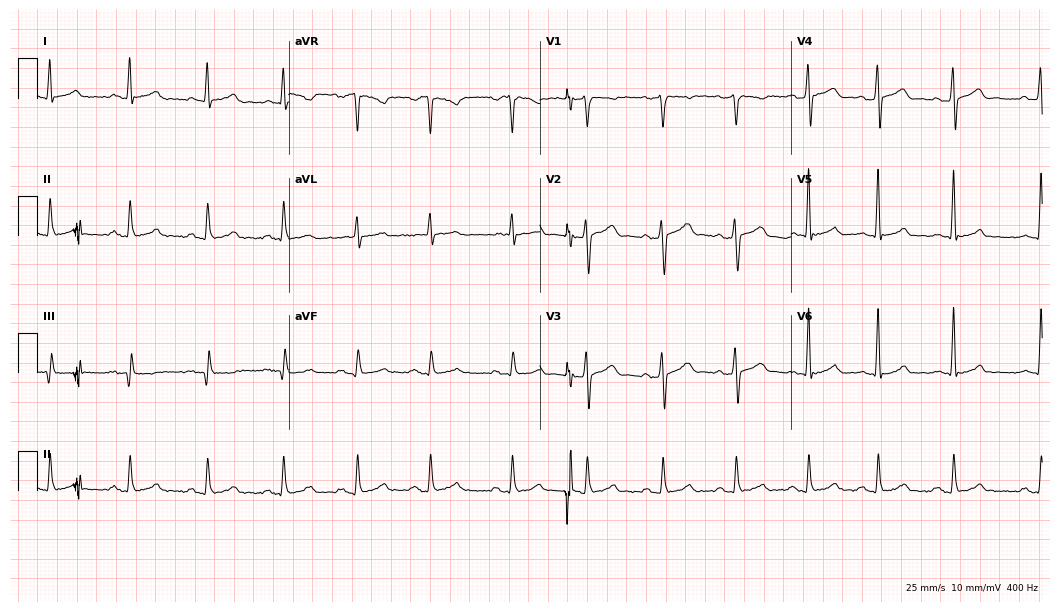
12-lead ECG from a male patient, 43 years old (10.2-second recording at 400 Hz). Recorded interpretation: within normal limits.